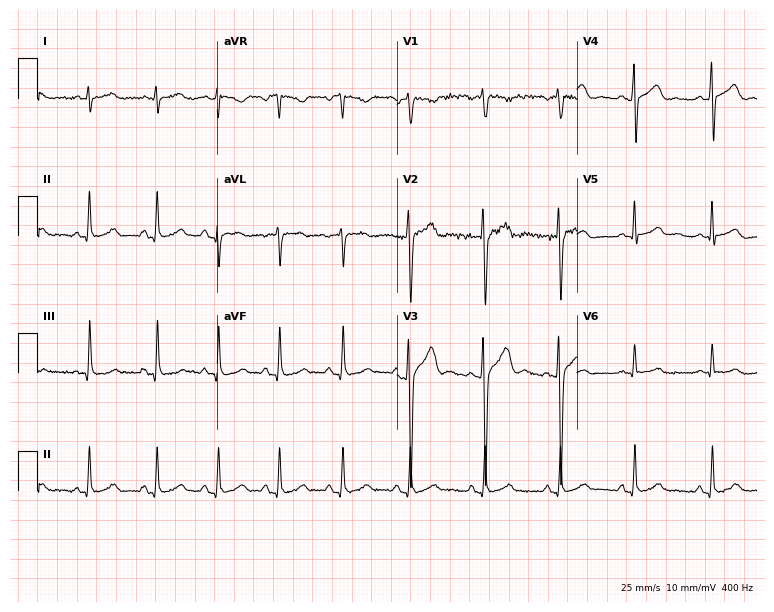
Electrocardiogram, a 17-year-old male patient. Overall reading on record: normal ECG.